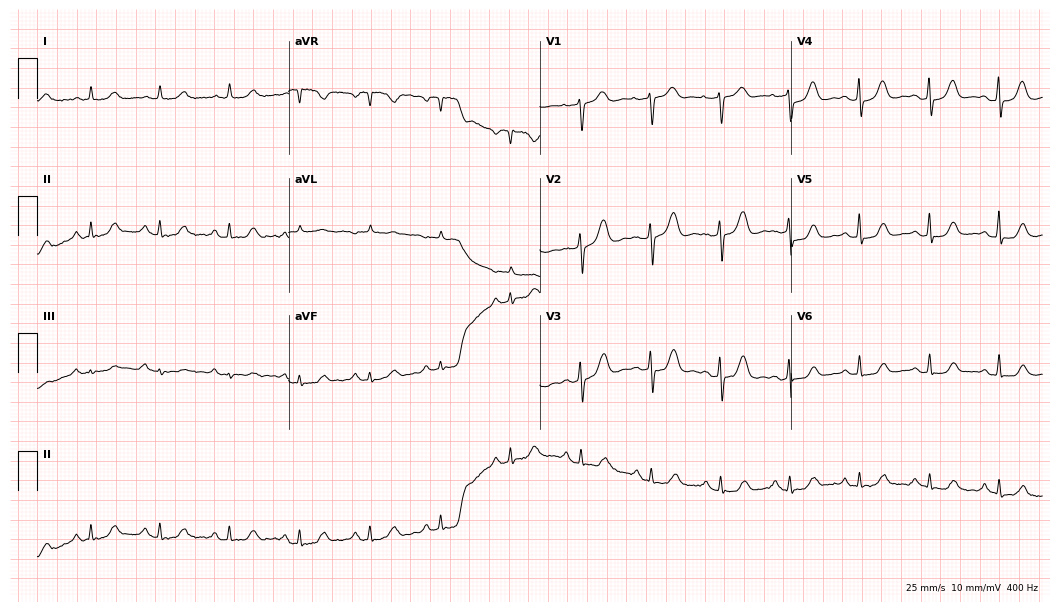
ECG — a 79-year-old woman. Screened for six findings — first-degree AV block, right bundle branch block, left bundle branch block, sinus bradycardia, atrial fibrillation, sinus tachycardia — none is recorded. Findings outside these six are not listed.